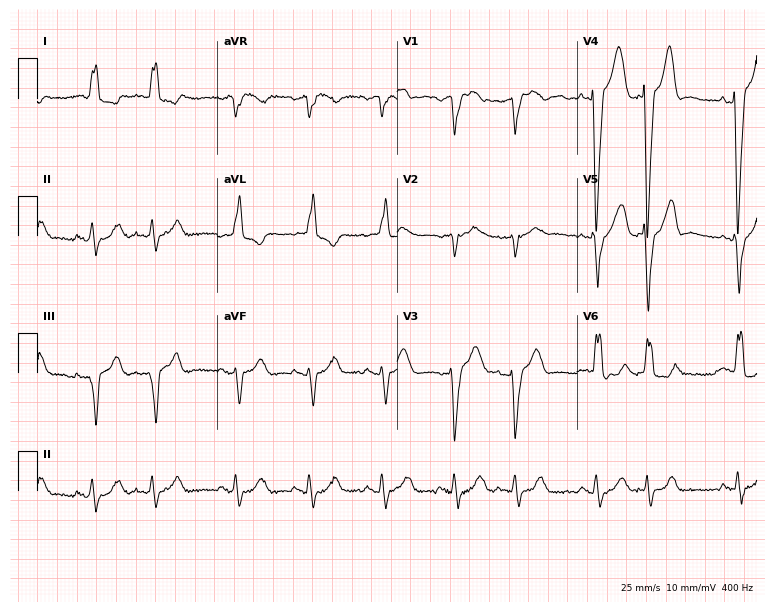
Electrocardiogram, an 84-year-old female. Interpretation includes left bundle branch block.